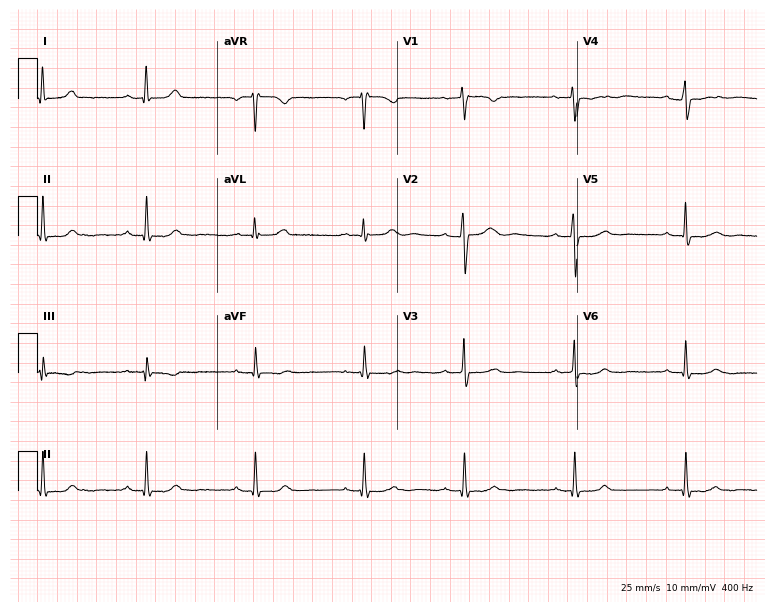
Resting 12-lead electrocardiogram (7.3-second recording at 400 Hz). Patient: a female, 49 years old. None of these six findings is recorded: first-degree AV block, right bundle branch block, left bundle branch block, sinus bradycardia, atrial fibrillation, sinus tachycardia. Findings outside these six are not listed.